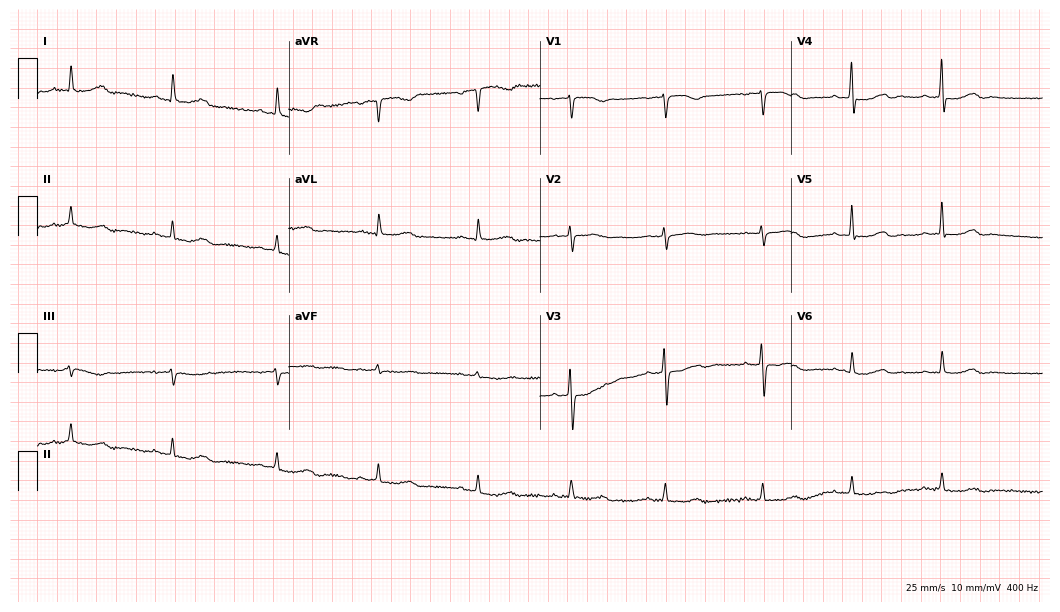
Electrocardiogram (10.2-second recording at 400 Hz), a 71-year-old female patient. Overall reading on record: normal ECG.